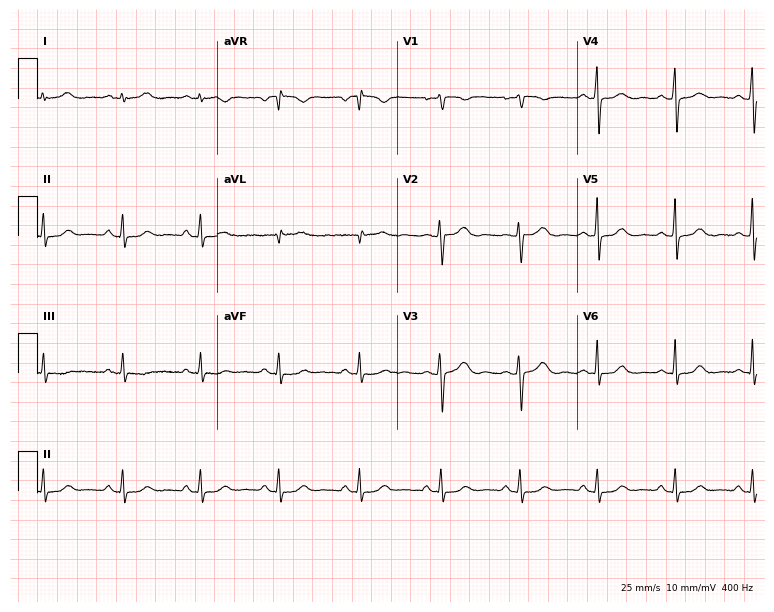
Resting 12-lead electrocardiogram. Patient: a female, 42 years old. Read as a normal ECG.